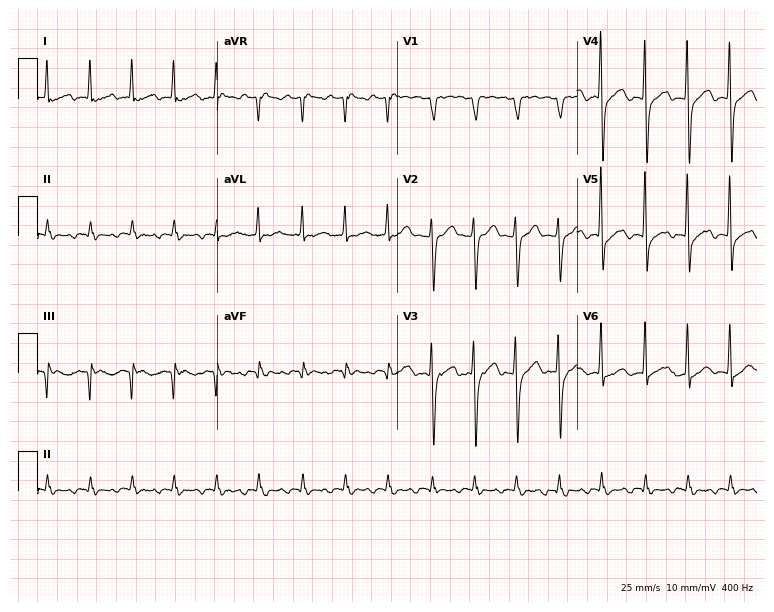
12-lead ECG from an 84-year-old woman. Screened for six findings — first-degree AV block, right bundle branch block, left bundle branch block, sinus bradycardia, atrial fibrillation, sinus tachycardia — none is recorded. Only these six findings were labelled.